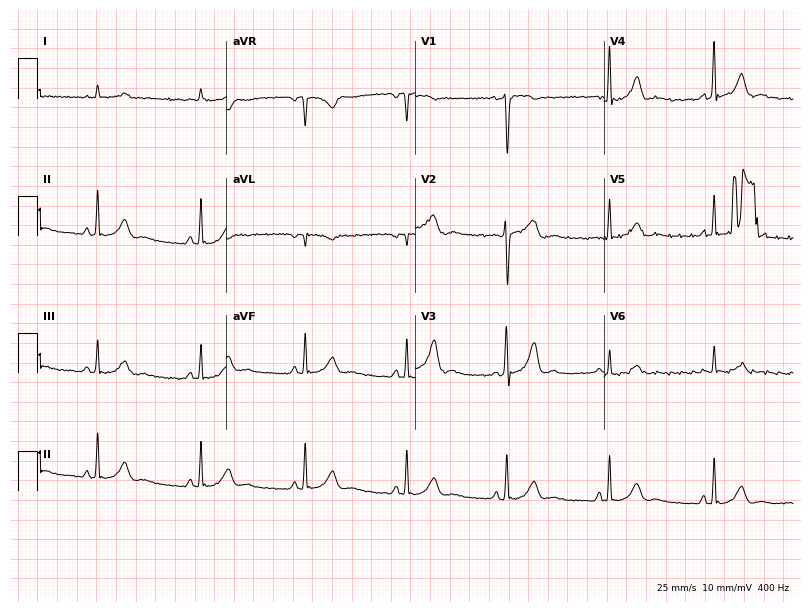
12-lead ECG from a 53-year-old man. Labelled as a normal ECG.